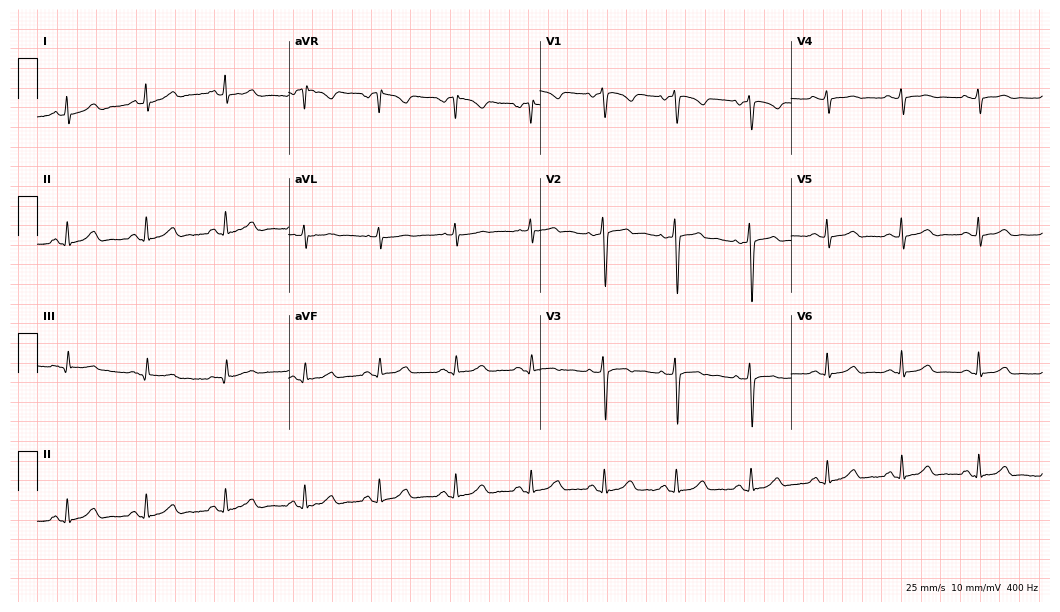
12-lead ECG (10.2-second recording at 400 Hz) from a female patient, 39 years old. Labelled as a normal ECG.